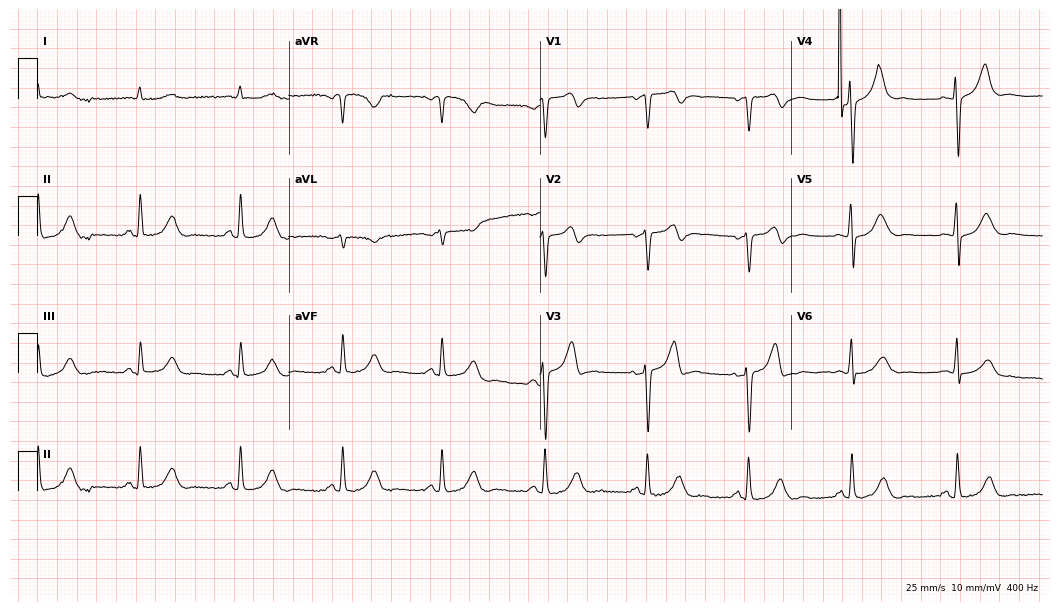
ECG (10.2-second recording at 400 Hz) — a 74-year-old man. Screened for six findings — first-degree AV block, right bundle branch block, left bundle branch block, sinus bradycardia, atrial fibrillation, sinus tachycardia — none is recorded. Findings outside these six are not listed.